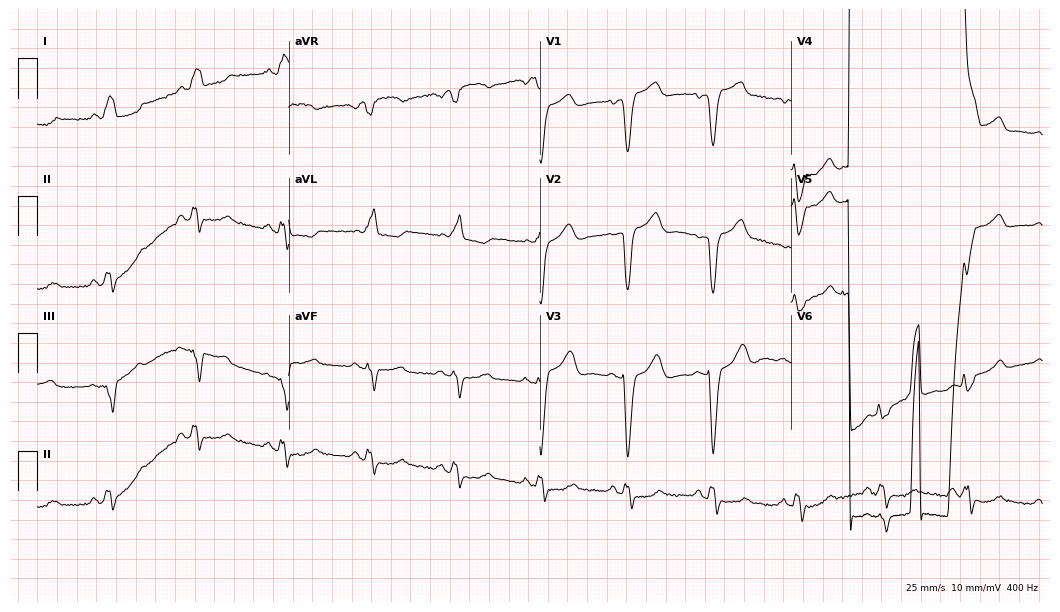
ECG (10.2-second recording at 400 Hz) — a 66-year-old woman. Findings include left bundle branch block (LBBB).